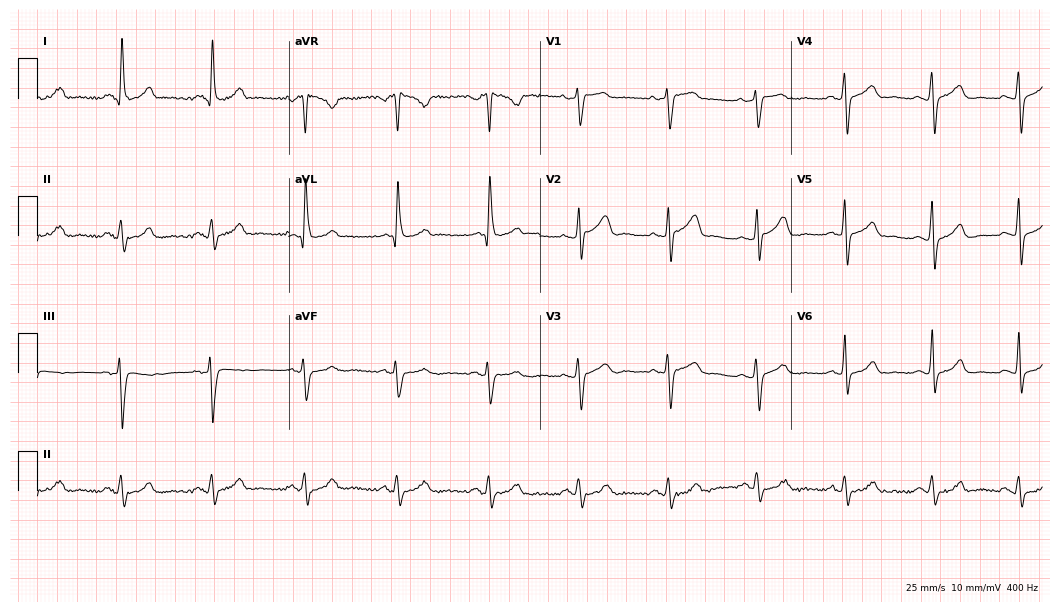
Resting 12-lead electrocardiogram (10.2-second recording at 400 Hz). Patient: a 43-year-old woman. None of these six findings is recorded: first-degree AV block, right bundle branch block, left bundle branch block, sinus bradycardia, atrial fibrillation, sinus tachycardia.